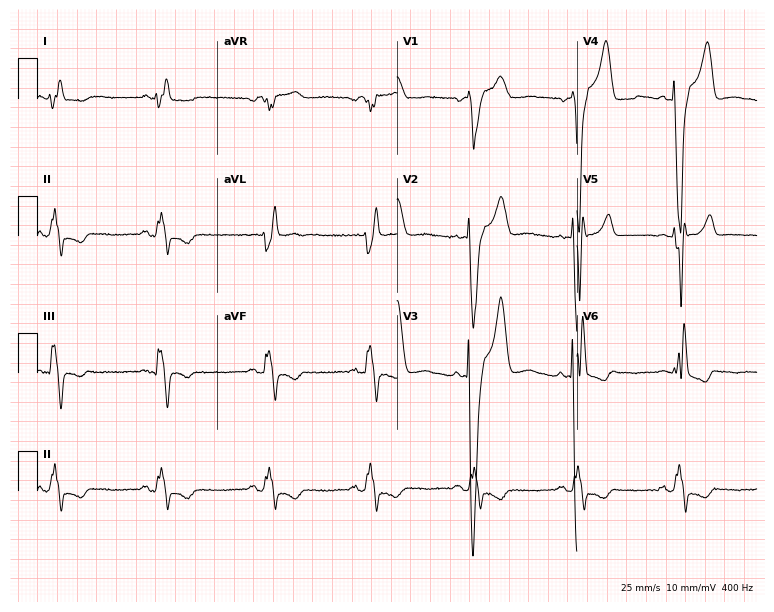
12-lead ECG (7.3-second recording at 400 Hz) from a male, 75 years old. Findings include left bundle branch block.